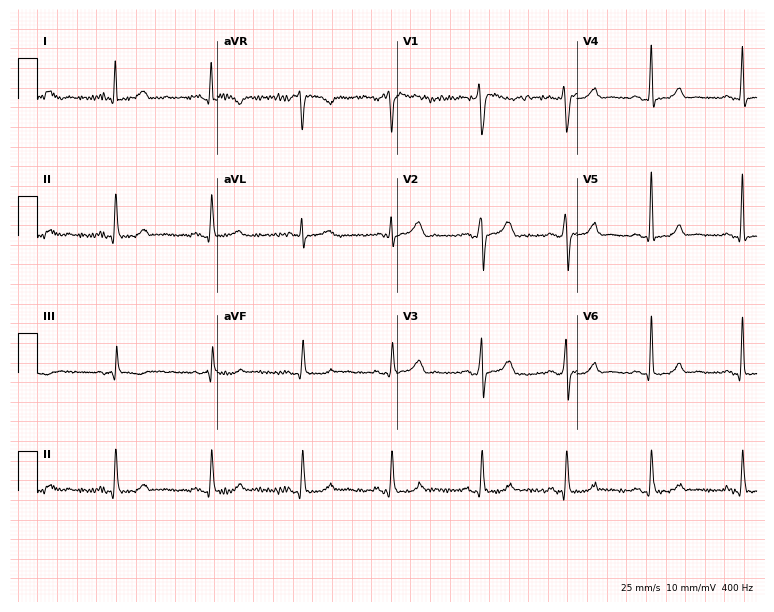
Resting 12-lead electrocardiogram. Patient: a male, 37 years old. Read as a normal ECG.